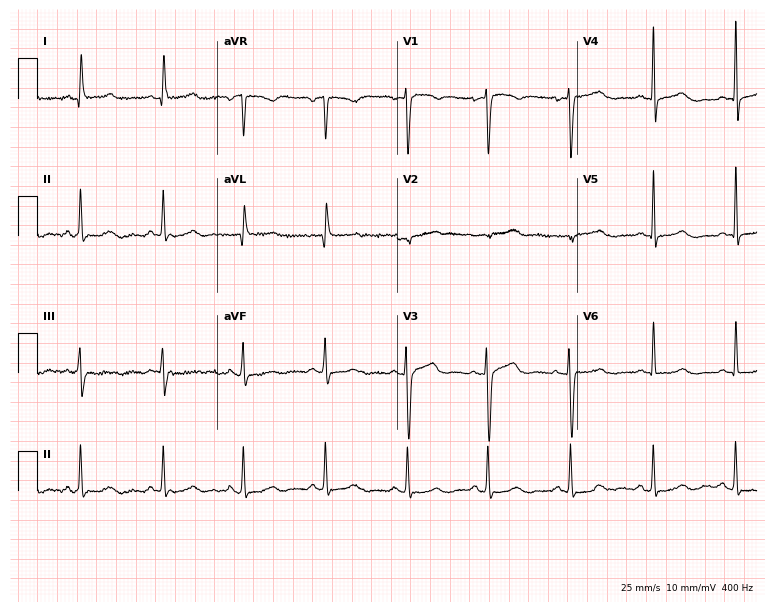
12-lead ECG from a woman, 40 years old. Screened for six findings — first-degree AV block, right bundle branch block, left bundle branch block, sinus bradycardia, atrial fibrillation, sinus tachycardia — none is recorded. Only these six findings were labelled.